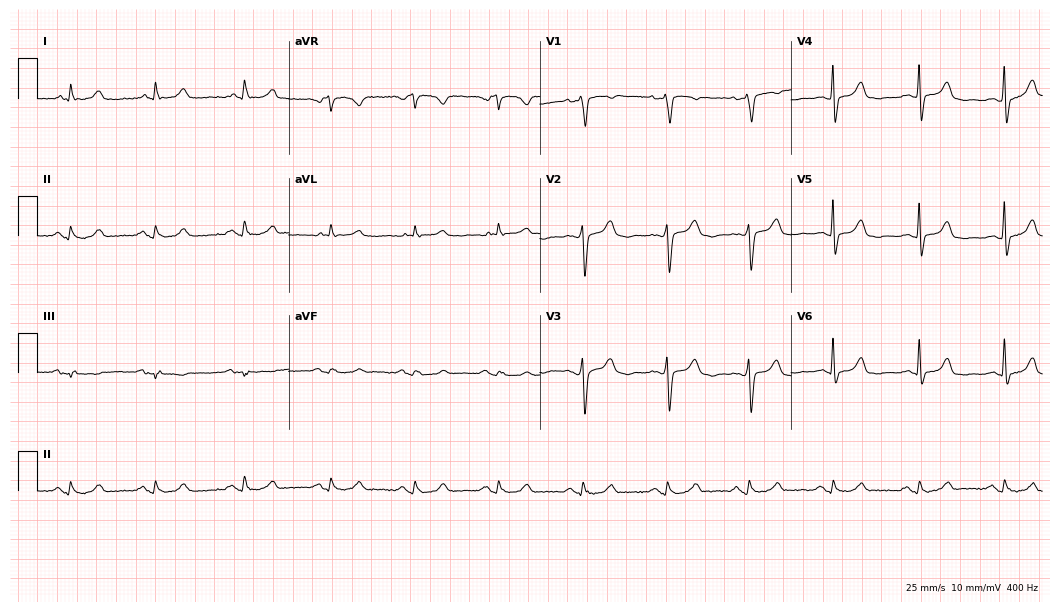
ECG (10.2-second recording at 400 Hz) — a 78-year-old female patient. Labelled as a normal ECG.